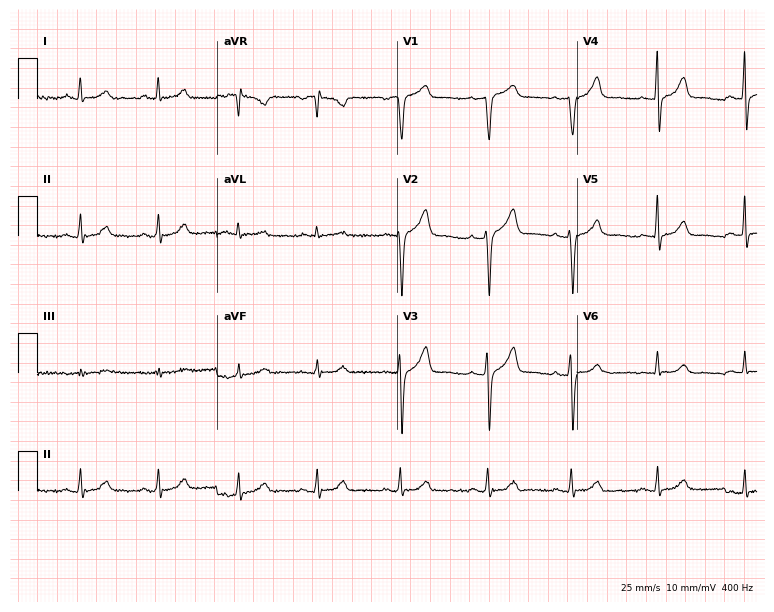
ECG — a male patient, 53 years old. Screened for six findings — first-degree AV block, right bundle branch block, left bundle branch block, sinus bradycardia, atrial fibrillation, sinus tachycardia — none is recorded.